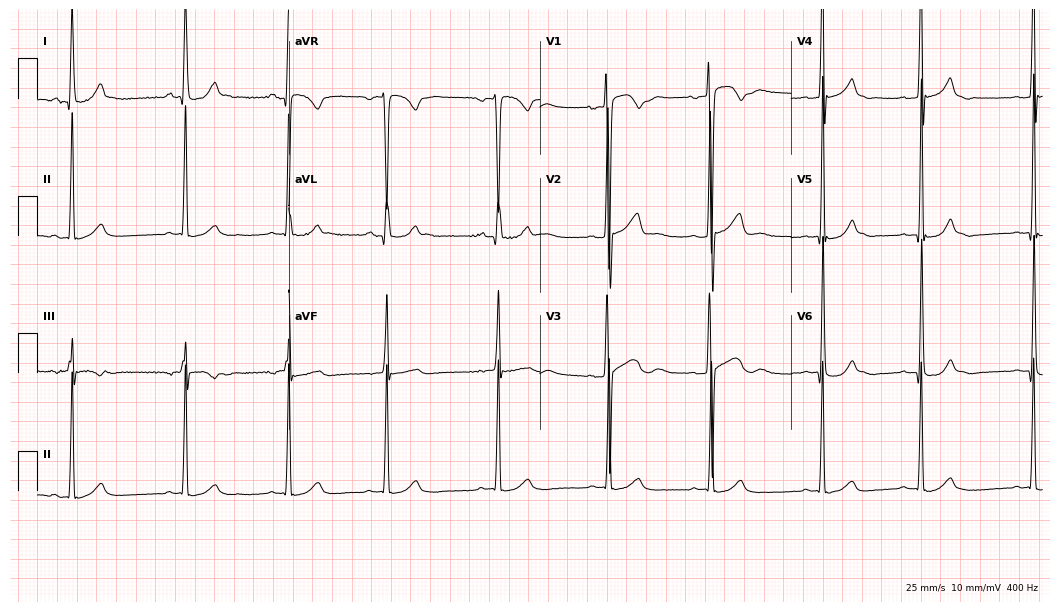
Standard 12-lead ECG recorded from a female, 17 years old (10.2-second recording at 400 Hz). None of these six findings is recorded: first-degree AV block, right bundle branch block, left bundle branch block, sinus bradycardia, atrial fibrillation, sinus tachycardia. Other findings, if any, are not listed.